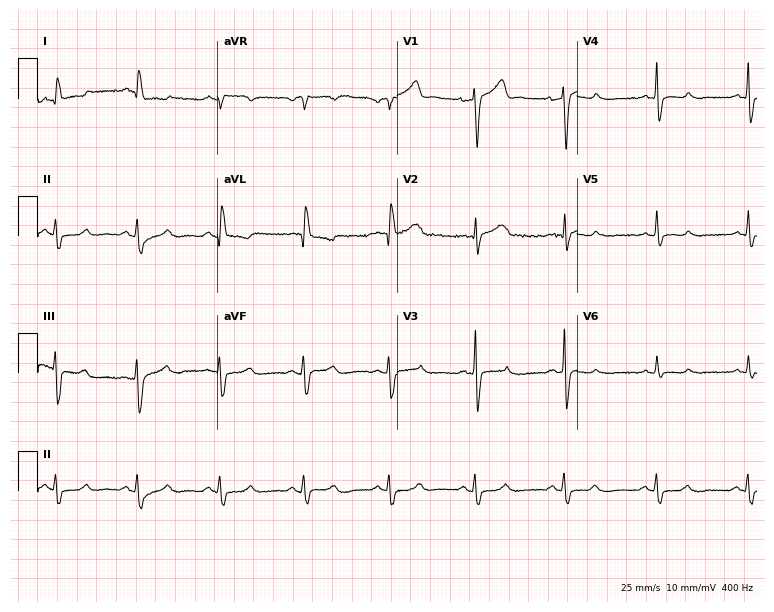
ECG (7.3-second recording at 400 Hz) — a male, 63 years old. Labelled as a normal ECG.